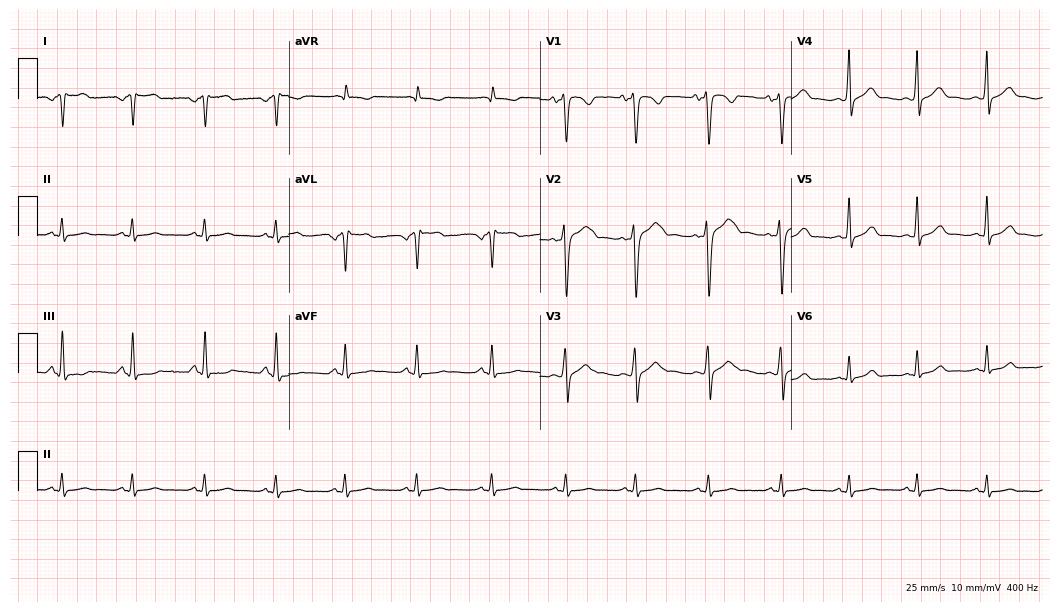
Resting 12-lead electrocardiogram. Patient: a female, 24 years old. None of these six findings is recorded: first-degree AV block, right bundle branch block, left bundle branch block, sinus bradycardia, atrial fibrillation, sinus tachycardia.